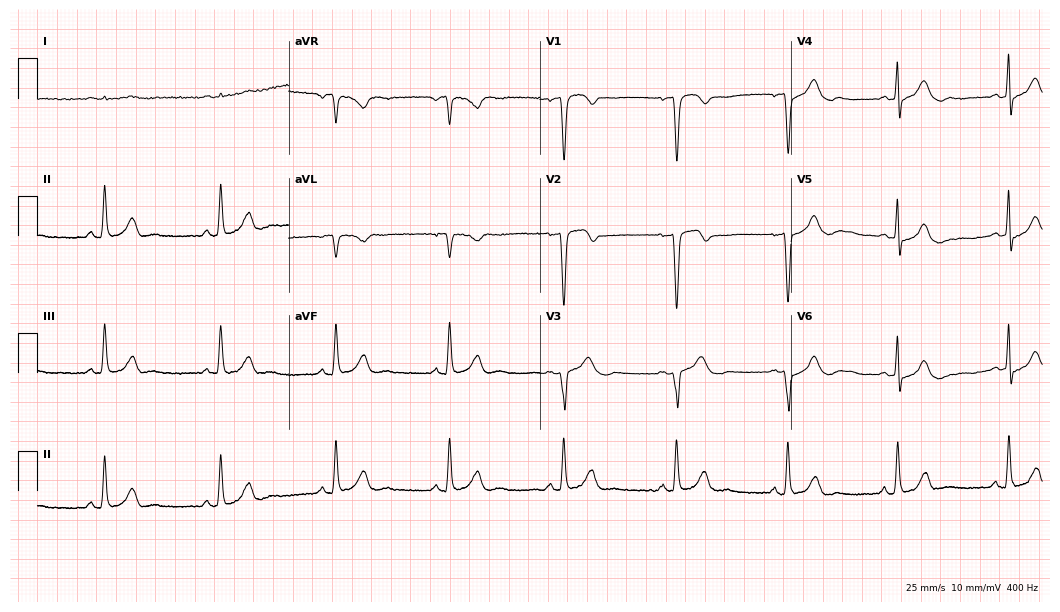
12-lead ECG from a male, 48 years old. No first-degree AV block, right bundle branch block, left bundle branch block, sinus bradycardia, atrial fibrillation or sinus tachycardia recorded for this tracing. Findings outside these six are not listed.